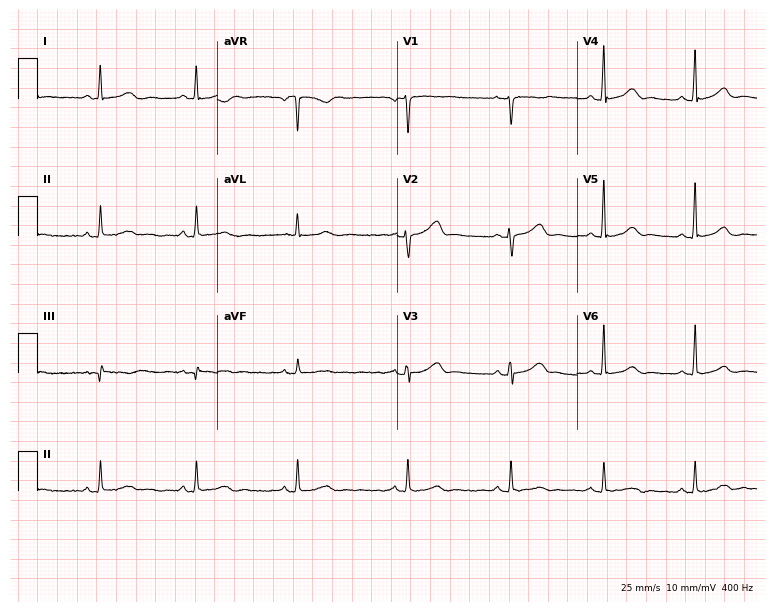
ECG — a 29-year-old female patient. Labelled as a normal ECG.